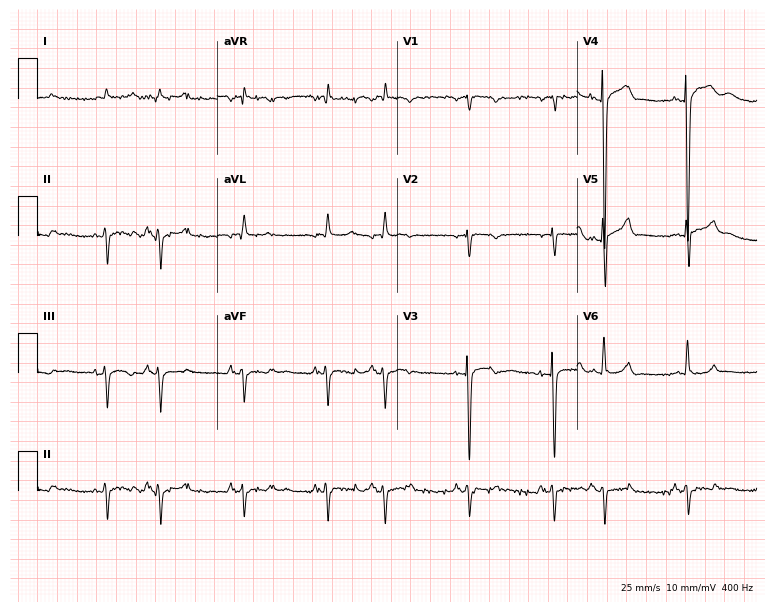
Electrocardiogram (7.3-second recording at 400 Hz), a male patient, 80 years old. Of the six screened findings (first-degree AV block, right bundle branch block (RBBB), left bundle branch block (LBBB), sinus bradycardia, atrial fibrillation (AF), sinus tachycardia), none is recorded. Findings outside these six are not listed.